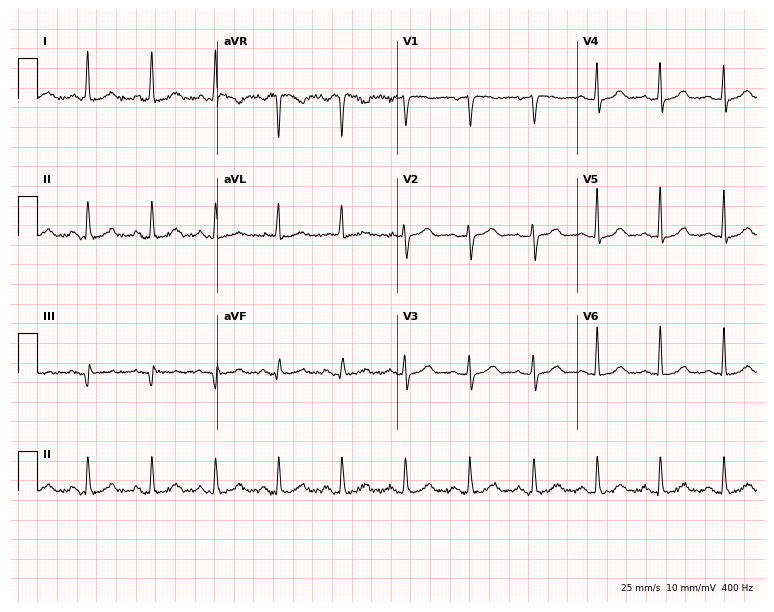
Resting 12-lead electrocardiogram (7.3-second recording at 400 Hz). Patient: a 46-year-old woman. Read as a normal ECG.